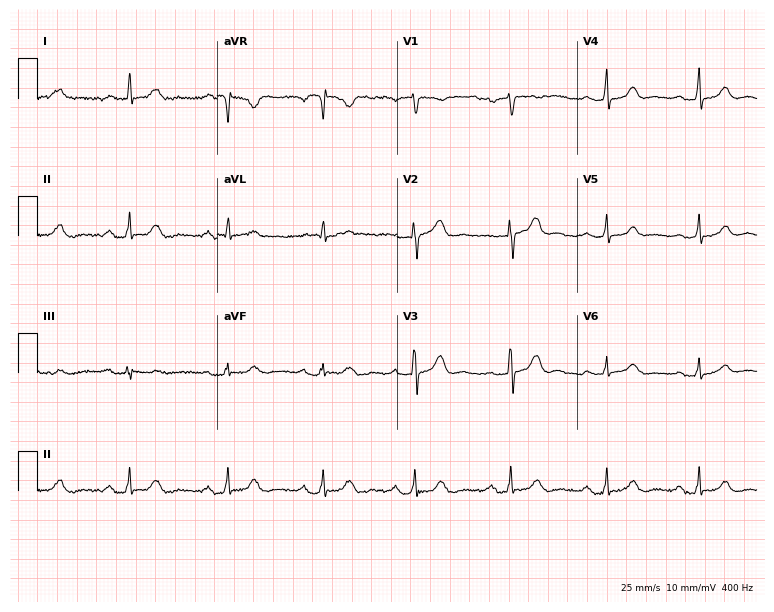
Standard 12-lead ECG recorded from a woman, 59 years old (7.3-second recording at 400 Hz). The tracing shows first-degree AV block.